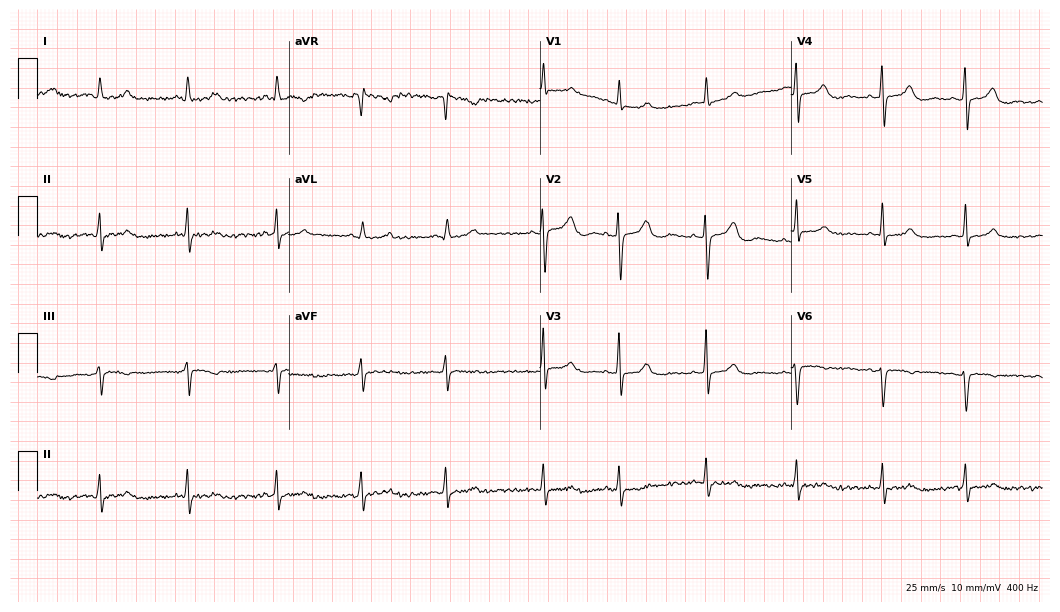
12-lead ECG from a woman, 40 years old (10.2-second recording at 400 Hz). No first-degree AV block, right bundle branch block, left bundle branch block, sinus bradycardia, atrial fibrillation or sinus tachycardia recorded for this tracing. Other findings, if any, are not listed.